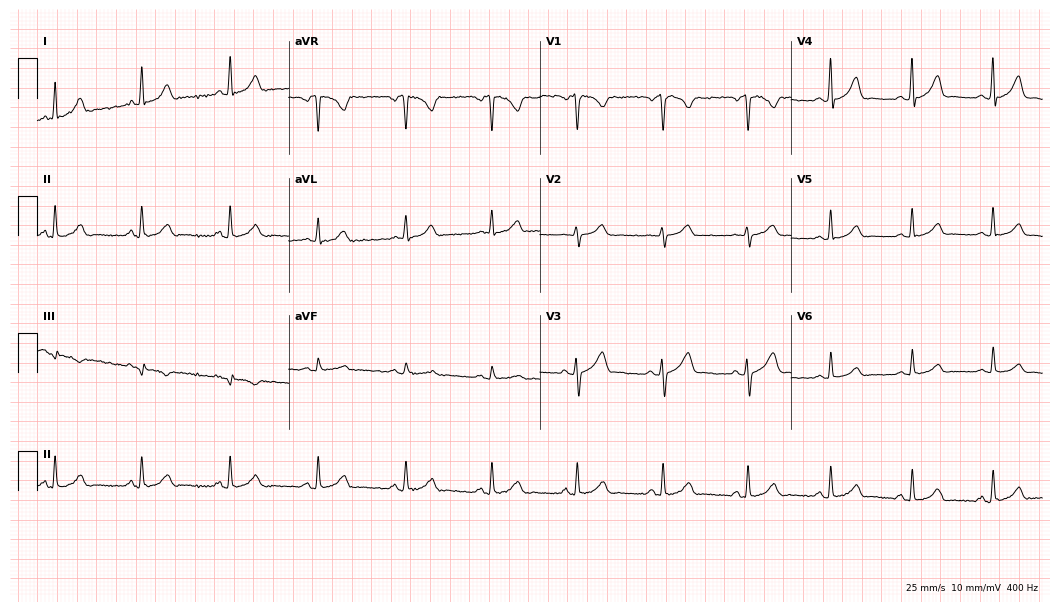
12-lead ECG from a woman, 25 years old (10.2-second recording at 400 Hz). No first-degree AV block, right bundle branch block (RBBB), left bundle branch block (LBBB), sinus bradycardia, atrial fibrillation (AF) or sinus tachycardia recorded for this tracing. Findings outside these six are not listed.